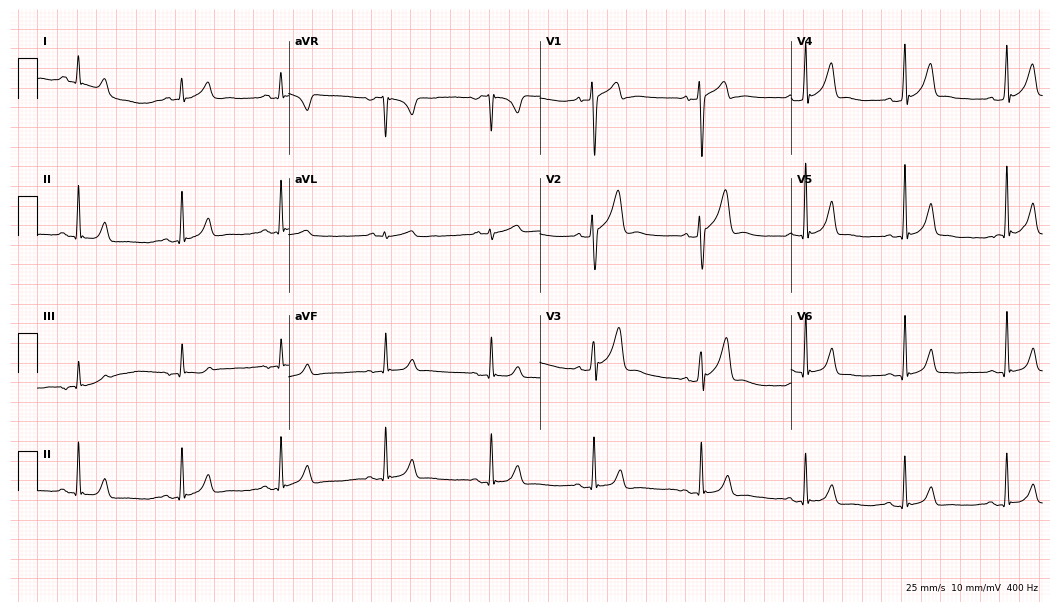
Standard 12-lead ECG recorded from a 17-year-old male patient (10.2-second recording at 400 Hz). None of these six findings is recorded: first-degree AV block, right bundle branch block, left bundle branch block, sinus bradycardia, atrial fibrillation, sinus tachycardia. Other findings, if any, are not listed.